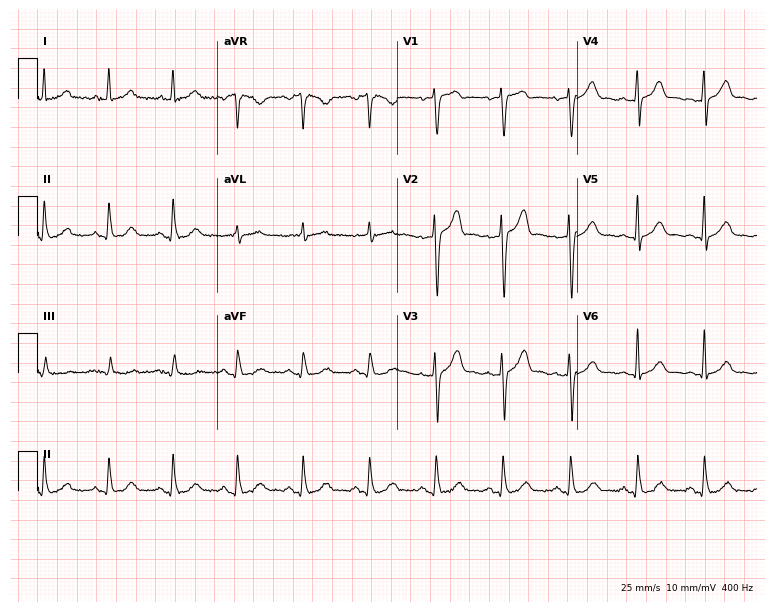
Electrocardiogram, a 51-year-old male. Overall reading on record: normal ECG.